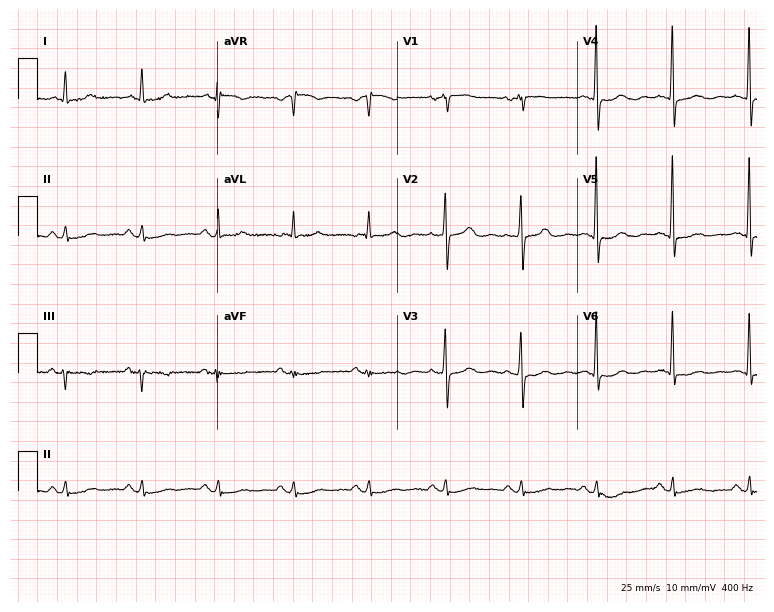
Resting 12-lead electrocardiogram. Patient: a woman, 73 years old. None of these six findings is recorded: first-degree AV block, right bundle branch block, left bundle branch block, sinus bradycardia, atrial fibrillation, sinus tachycardia. Only these six findings were labelled.